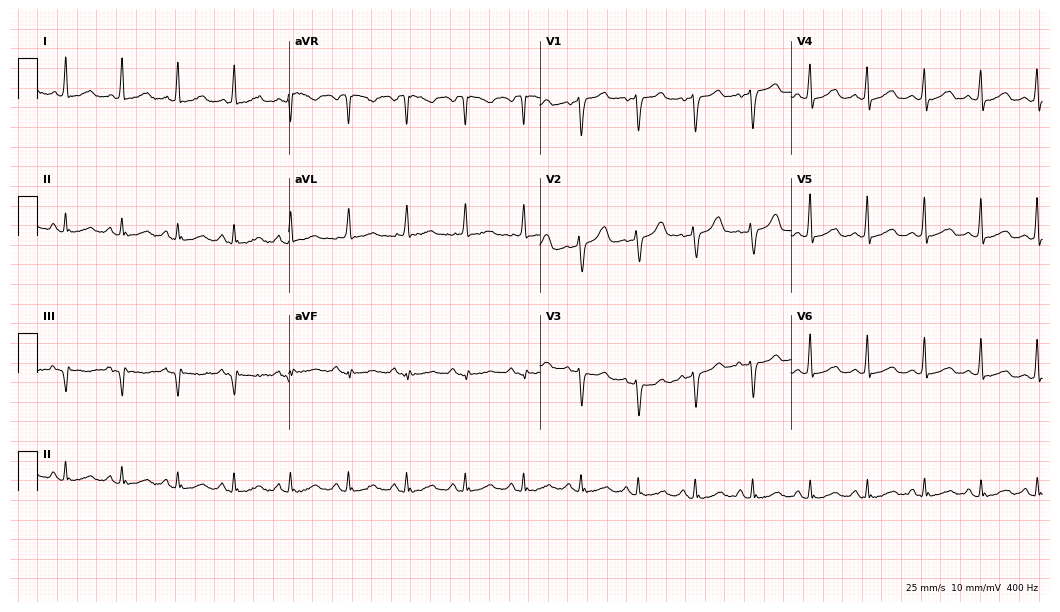
12-lead ECG (10.2-second recording at 400 Hz) from a female, 72 years old. Screened for six findings — first-degree AV block, right bundle branch block, left bundle branch block, sinus bradycardia, atrial fibrillation, sinus tachycardia — none is recorded.